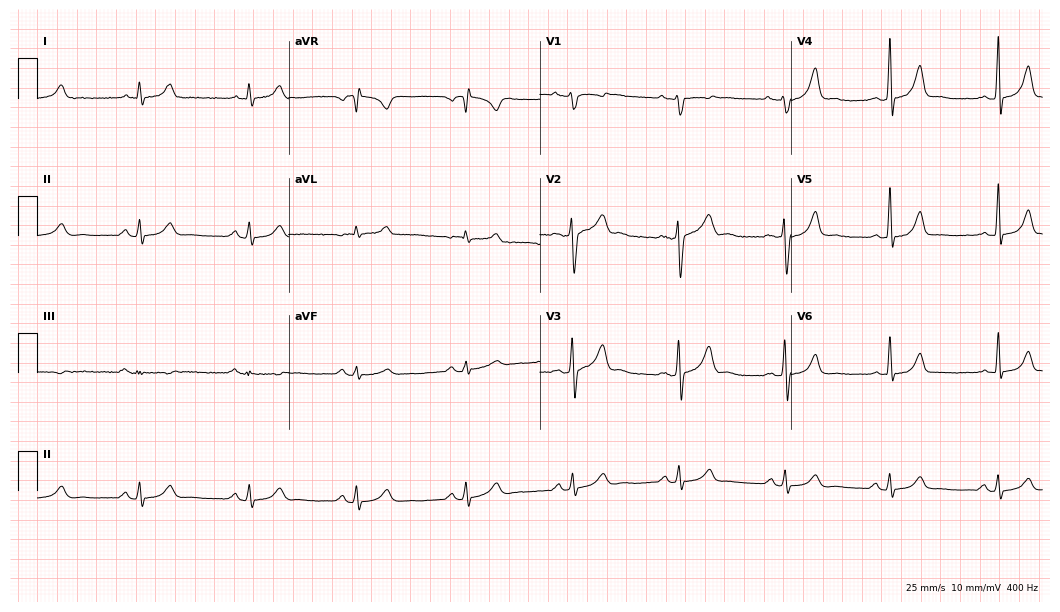
12-lead ECG from a male, 43 years old (10.2-second recording at 400 Hz). Recorded interpretation: within normal limits.